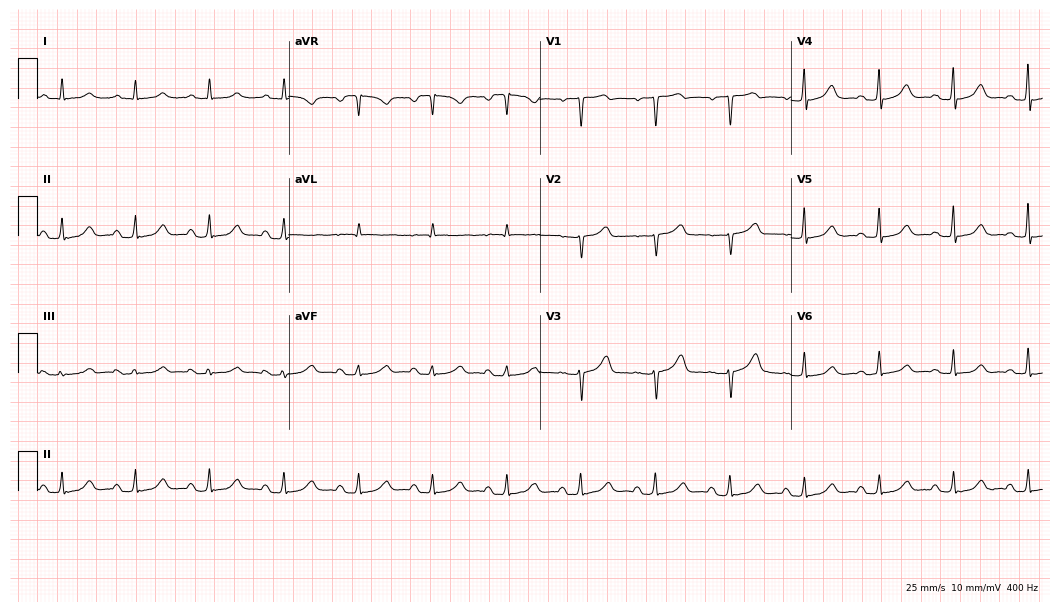
12-lead ECG from an 82-year-old female. No first-degree AV block, right bundle branch block, left bundle branch block, sinus bradycardia, atrial fibrillation or sinus tachycardia recorded for this tracing. Only these six findings were labelled.